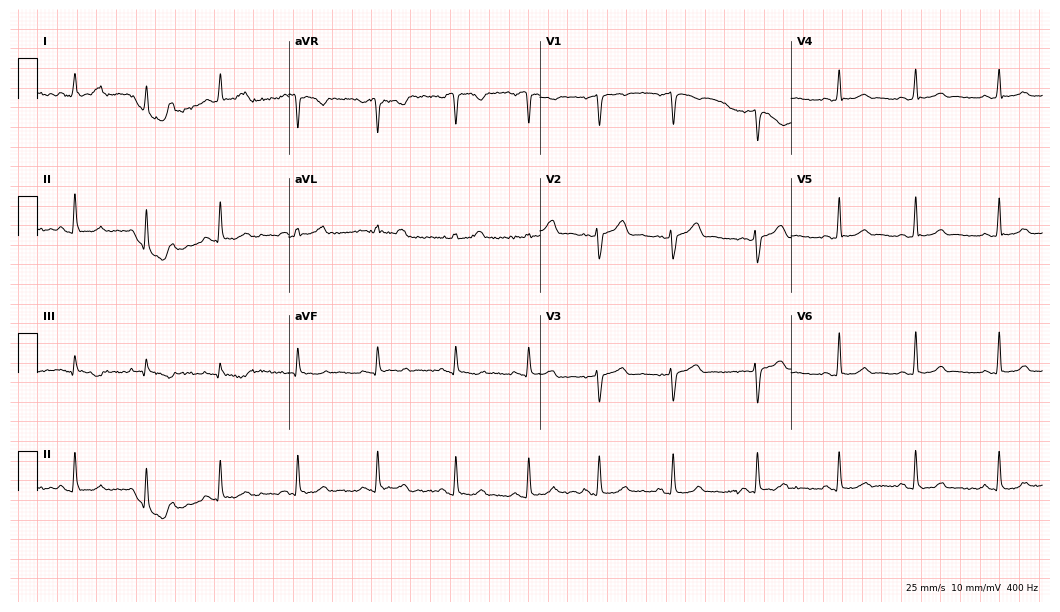
12-lead ECG from a 29-year-old woman. Screened for six findings — first-degree AV block, right bundle branch block (RBBB), left bundle branch block (LBBB), sinus bradycardia, atrial fibrillation (AF), sinus tachycardia — none is recorded.